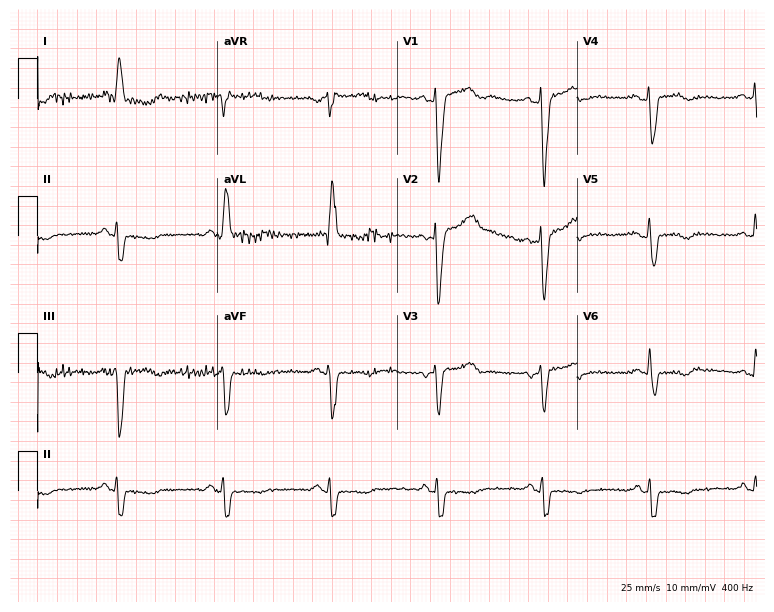
ECG (7.3-second recording at 400 Hz) — a male, 67 years old. Screened for six findings — first-degree AV block, right bundle branch block (RBBB), left bundle branch block (LBBB), sinus bradycardia, atrial fibrillation (AF), sinus tachycardia — none is recorded.